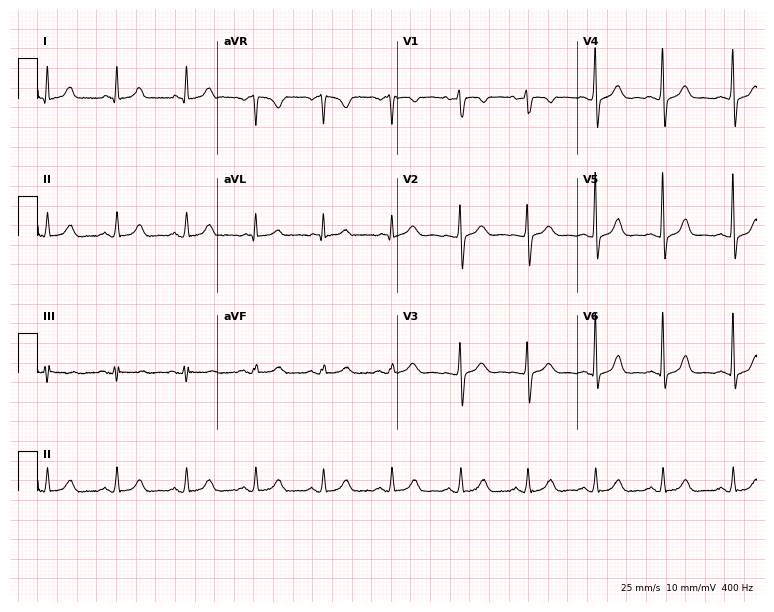
Resting 12-lead electrocardiogram (7.3-second recording at 400 Hz). Patient: a woman, 41 years old. None of these six findings is recorded: first-degree AV block, right bundle branch block (RBBB), left bundle branch block (LBBB), sinus bradycardia, atrial fibrillation (AF), sinus tachycardia.